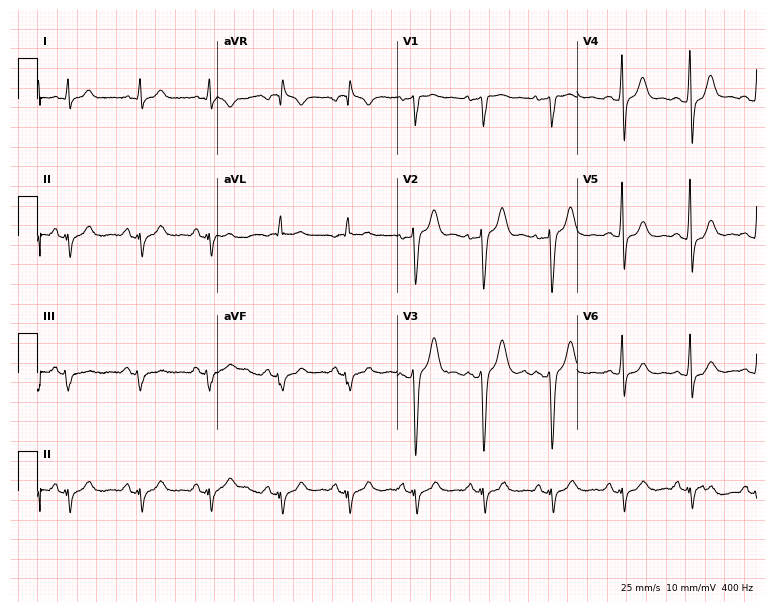
Standard 12-lead ECG recorded from a male, 49 years old. None of these six findings is recorded: first-degree AV block, right bundle branch block, left bundle branch block, sinus bradycardia, atrial fibrillation, sinus tachycardia. Only these six findings were labelled.